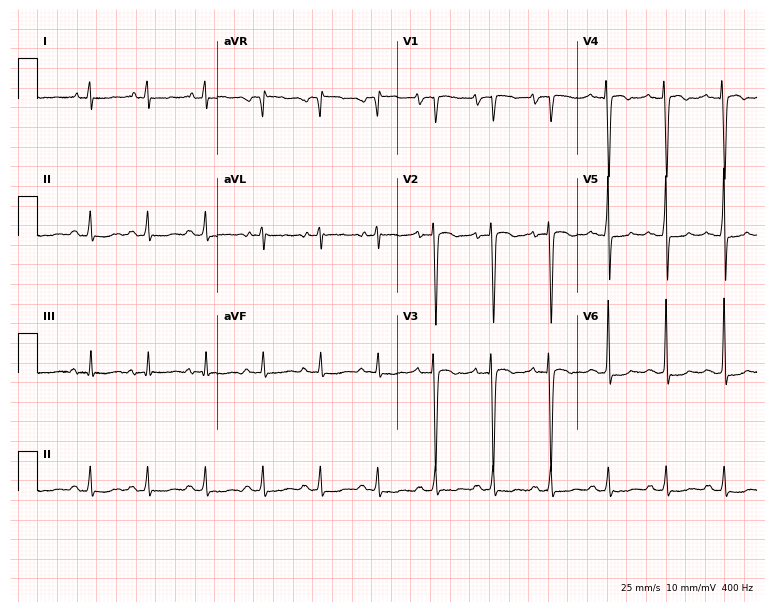
Resting 12-lead electrocardiogram (7.3-second recording at 400 Hz). Patient: a female, 18 years old. The tracing shows sinus tachycardia (a sinus rate of 100 beats per minute or more).